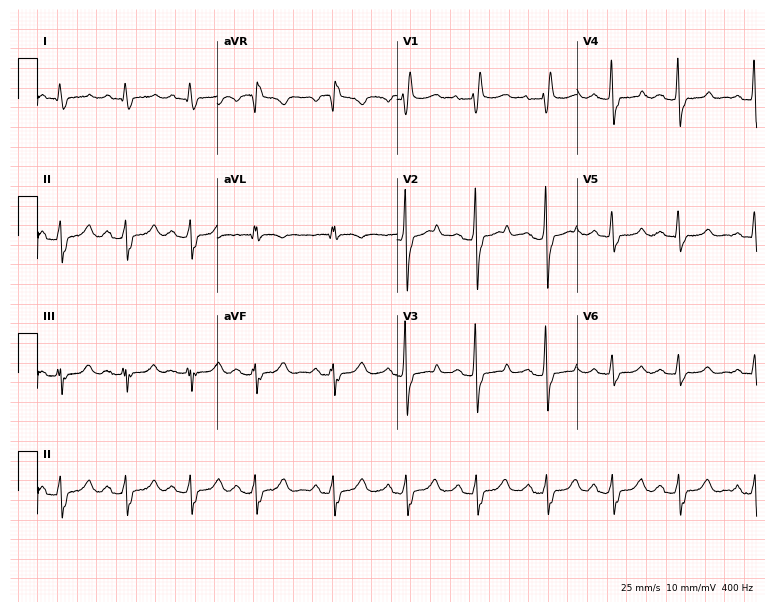
Resting 12-lead electrocardiogram. Patient: a female, 50 years old. None of these six findings is recorded: first-degree AV block, right bundle branch block (RBBB), left bundle branch block (LBBB), sinus bradycardia, atrial fibrillation (AF), sinus tachycardia. Other findings, if any, are not listed.